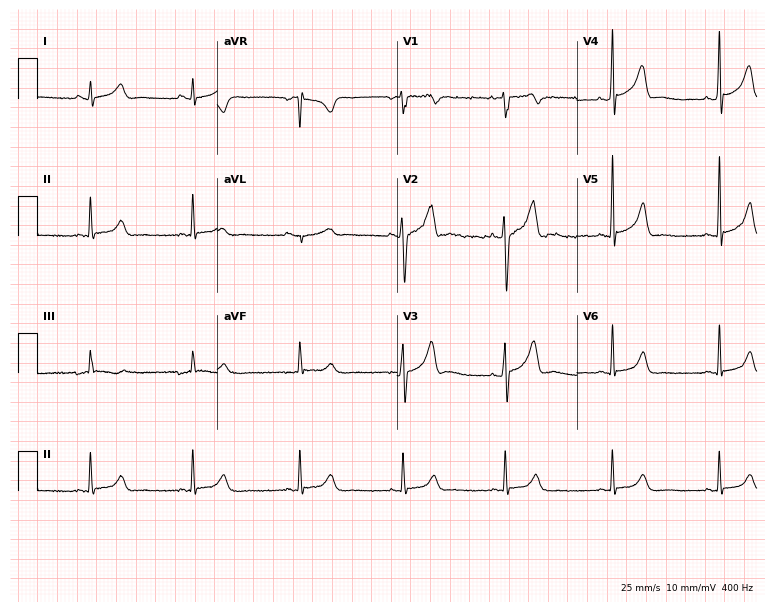
Standard 12-lead ECG recorded from a male patient, 32 years old. Read as a normal ECG.